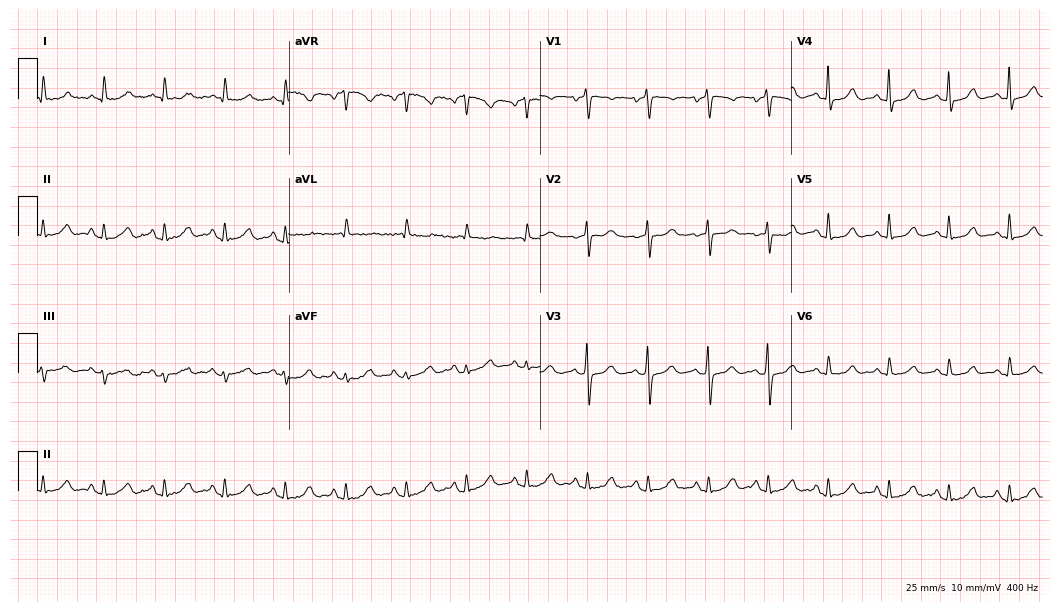
Standard 12-lead ECG recorded from an 82-year-old female (10.2-second recording at 400 Hz). Read as a normal ECG.